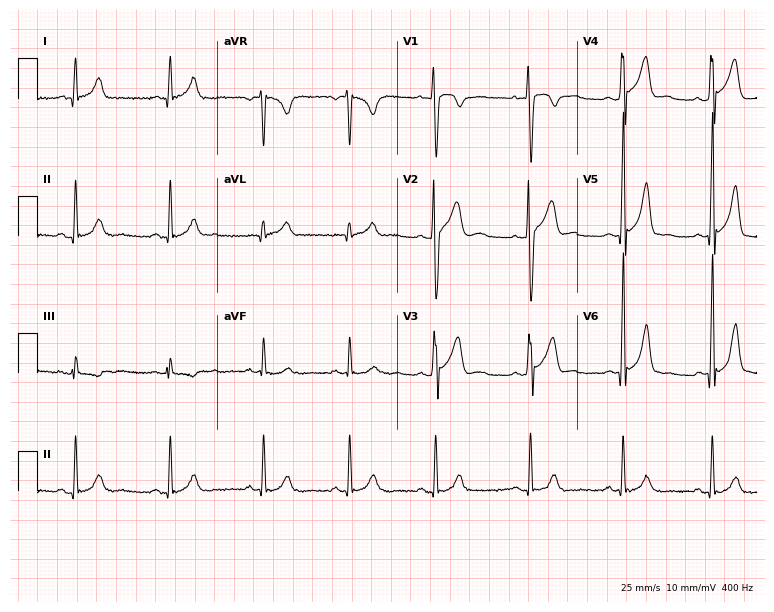
Standard 12-lead ECG recorded from a male, 19 years old. None of these six findings is recorded: first-degree AV block, right bundle branch block, left bundle branch block, sinus bradycardia, atrial fibrillation, sinus tachycardia.